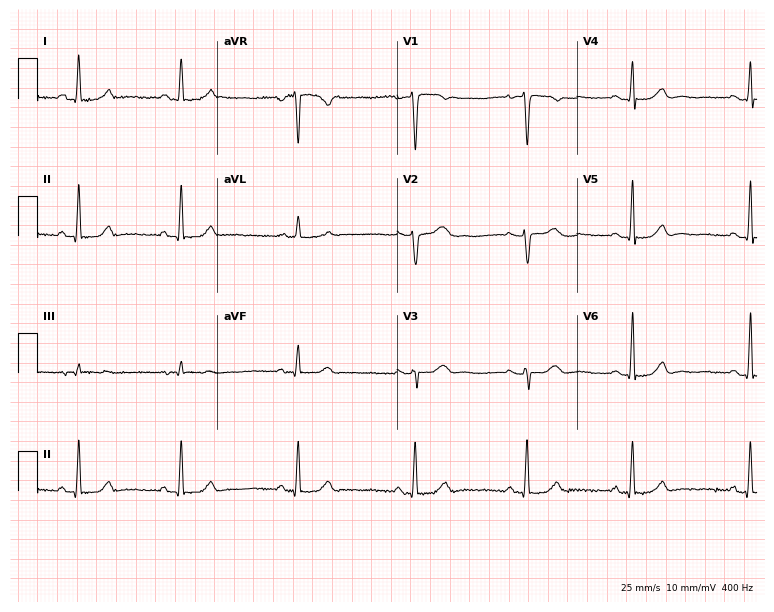
ECG — a 36-year-old woman. Labelled as a normal ECG.